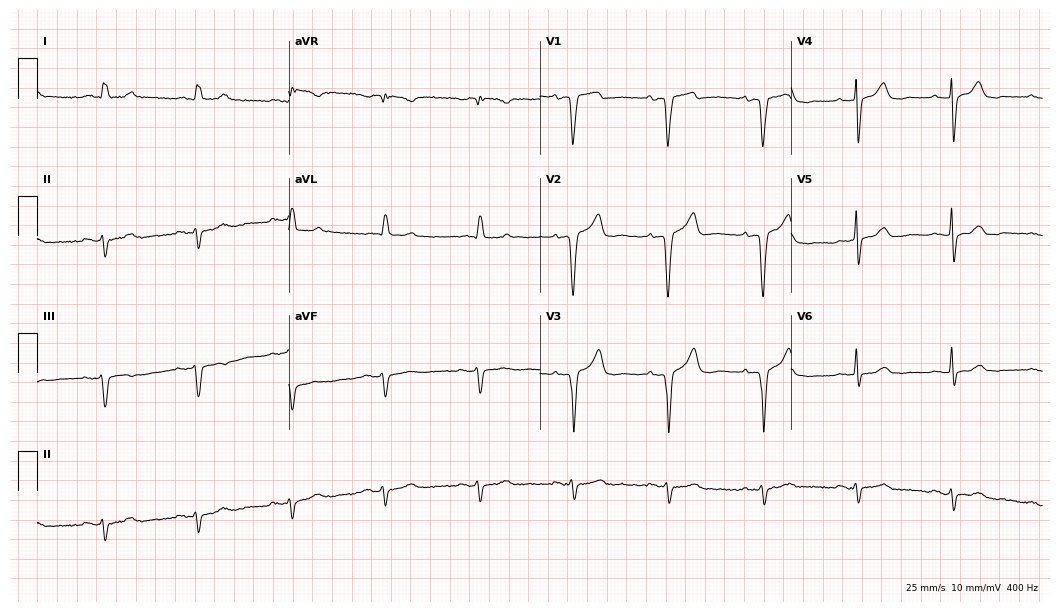
Standard 12-lead ECG recorded from a male, 73 years old (10.2-second recording at 400 Hz). None of these six findings is recorded: first-degree AV block, right bundle branch block, left bundle branch block, sinus bradycardia, atrial fibrillation, sinus tachycardia.